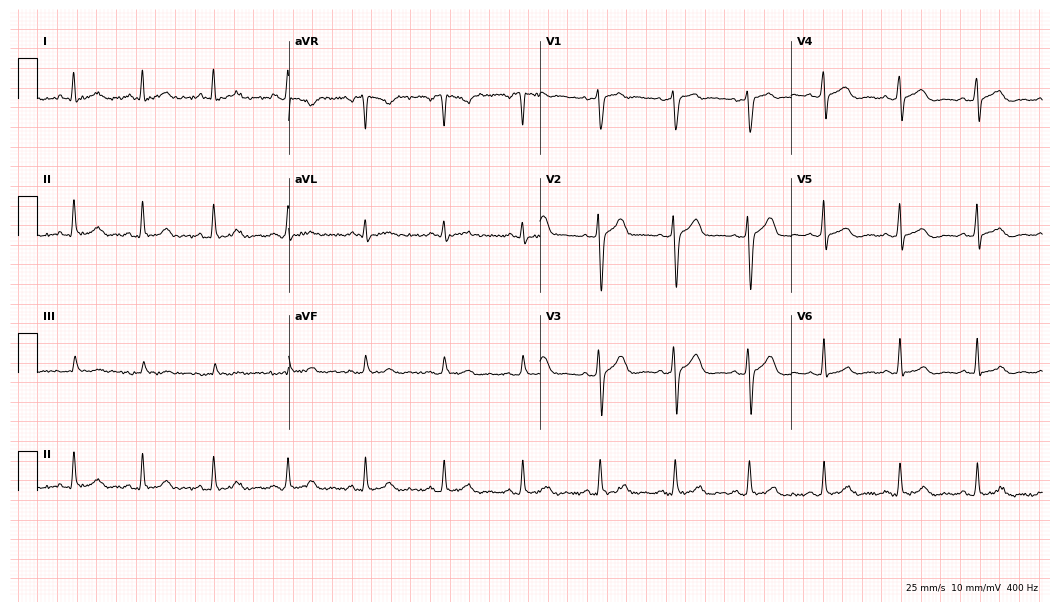
Electrocardiogram (10.2-second recording at 400 Hz), a 39-year-old male patient. Overall reading on record: normal ECG.